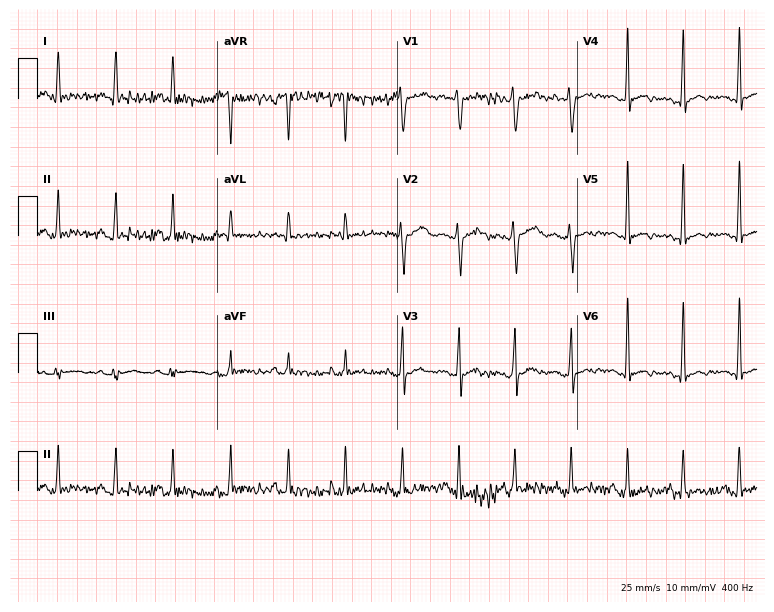
Standard 12-lead ECG recorded from a 36-year-old female (7.3-second recording at 400 Hz). The tracing shows sinus tachycardia (a sinus rate of 100 beats per minute or more).